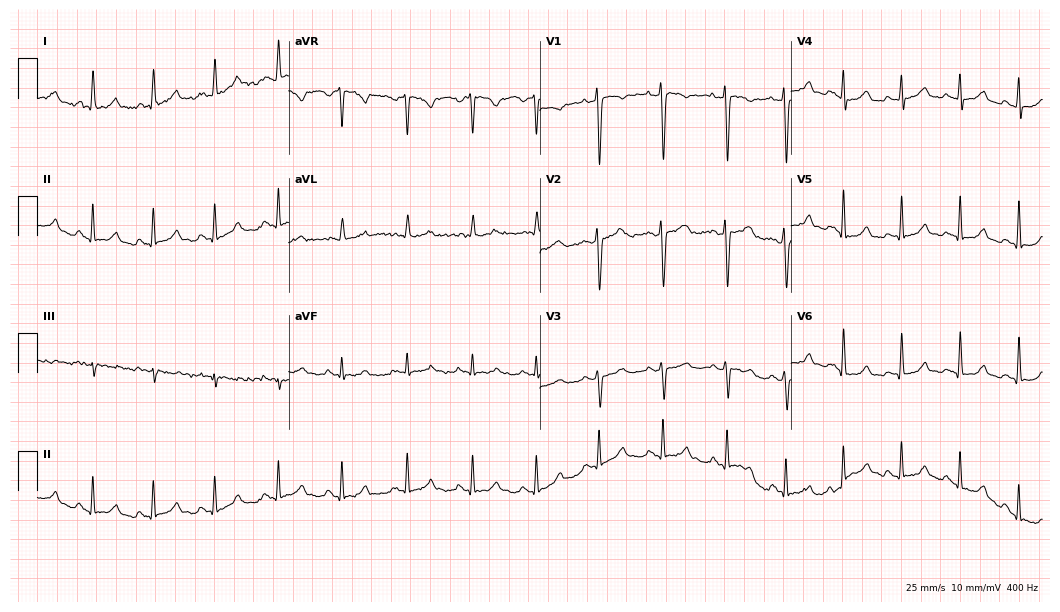
Electrocardiogram, a 23-year-old female. Of the six screened findings (first-degree AV block, right bundle branch block, left bundle branch block, sinus bradycardia, atrial fibrillation, sinus tachycardia), none is recorded.